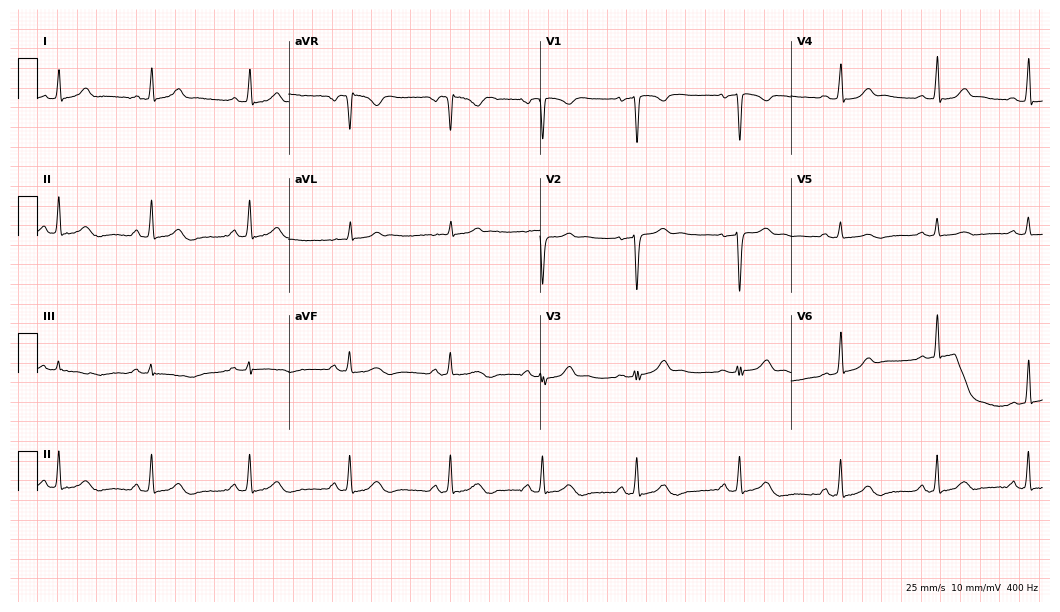
12-lead ECG from a 39-year-old female patient (10.2-second recording at 400 Hz). No first-degree AV block, right bundle branch block, left bundle branch block, sinus bradycardia, atrial fibrillation or sinus tachycardia recorded for this tracing.